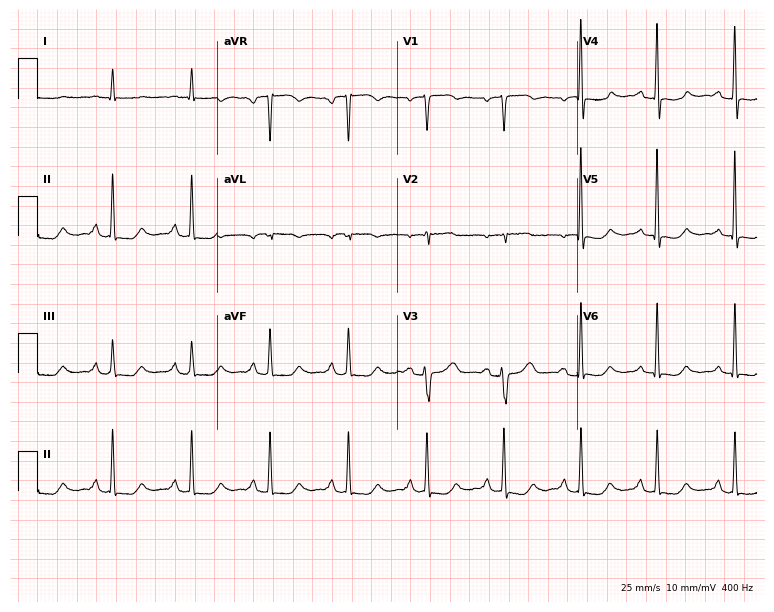
Resting 12-lead electrocardiogram. Patient: a male, 80 years old. Read as a normal ECG.